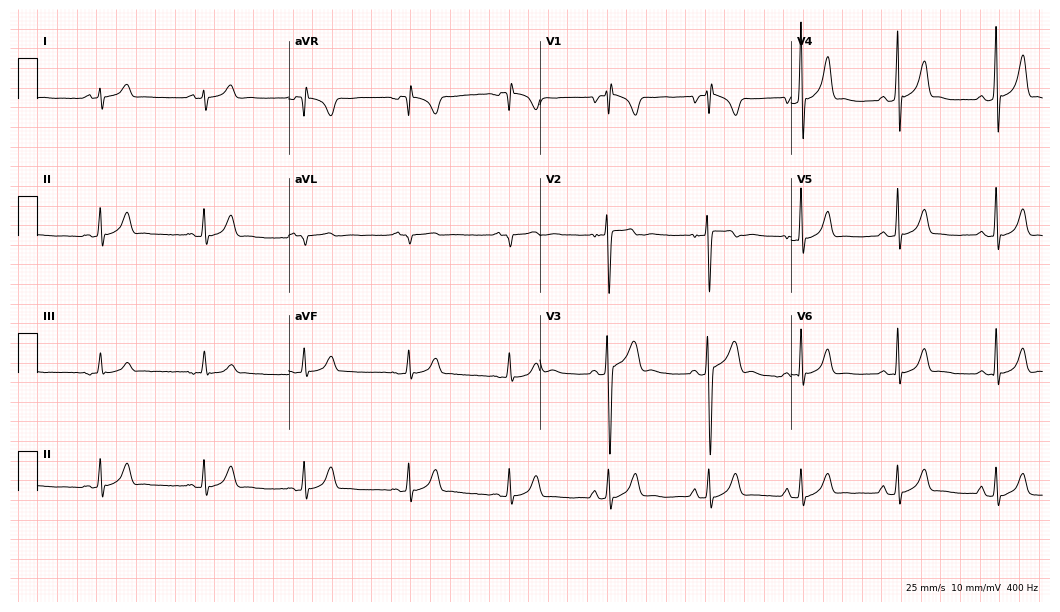
Standard 12-lead ECG recorded from a man, 17 years old (10.2-second recording at 400 Hz). None of these six findings is recorded: first-degree AV block, right bundle branch block, left bundle branch block, sinus bradycardia, atrial fibrillation, sinus tachycardia.